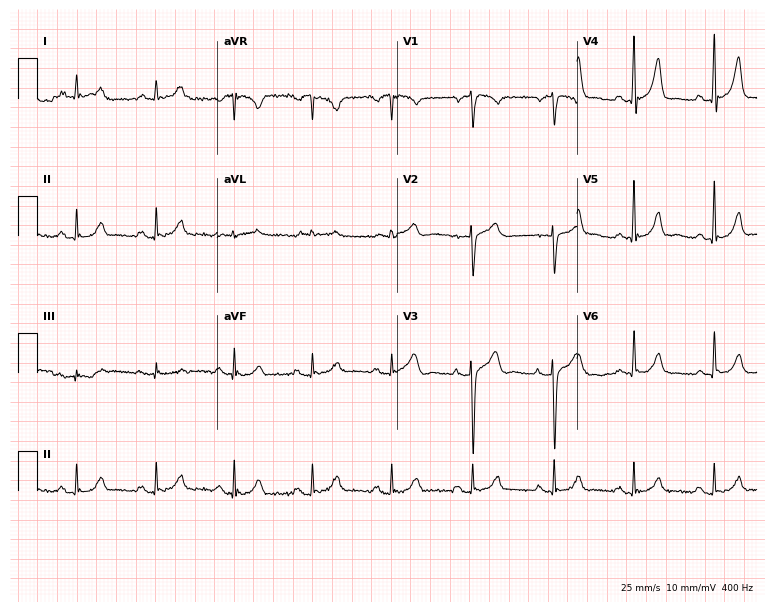
12-lead ECG from a male patient, 73 years old (7.3-second recording at 400 Hz). Recorded interpretation: within normal limits.